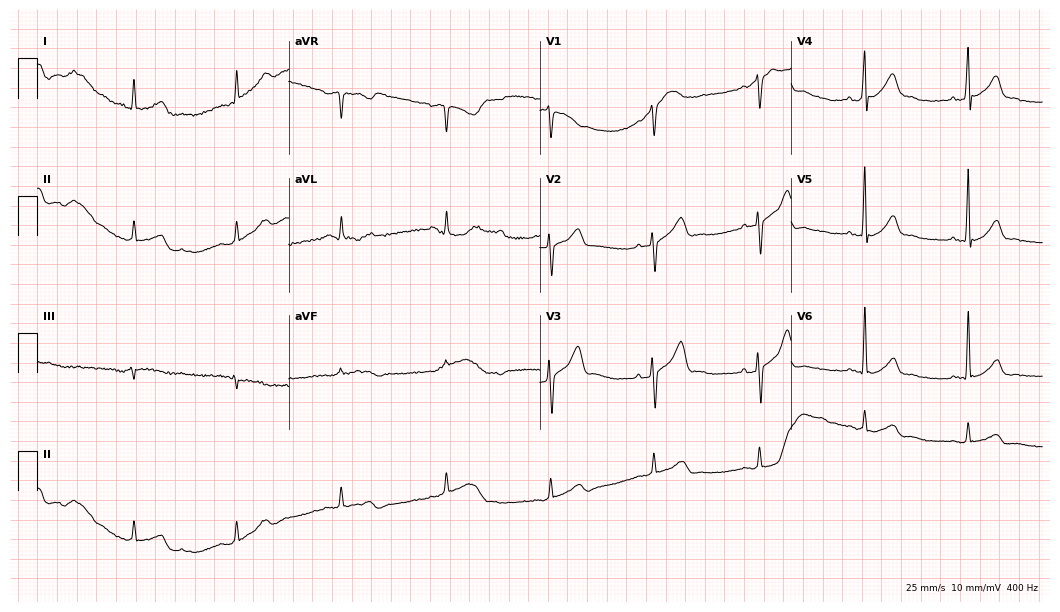
Standard 12-lead ECG recorded from a female, 41 years old. None of these six findings is recorded: first-degree AV block, right bundle branch block (RBBB), left bundle branch block (LBBB), sinus bradycardia, atrial fibrillation (AF), sinus tachycardia.